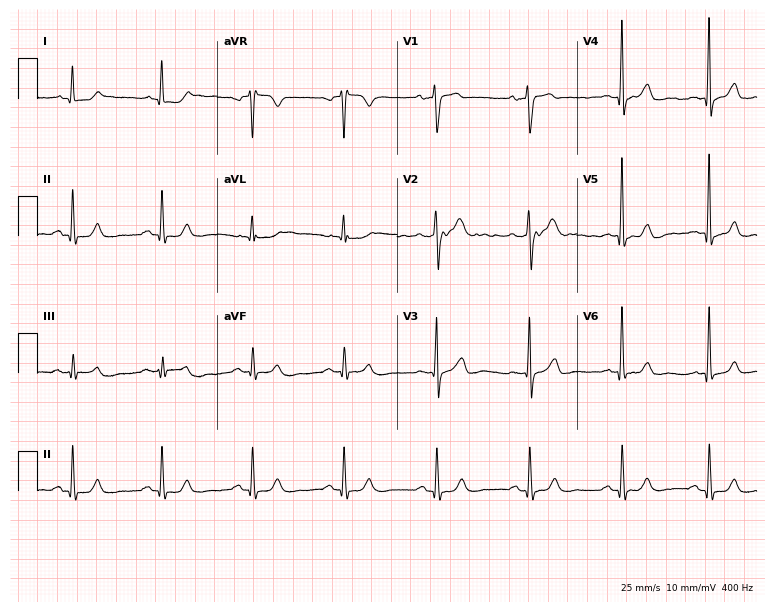
ECG — a male, 44 years old. Labelled as a normal ECG.